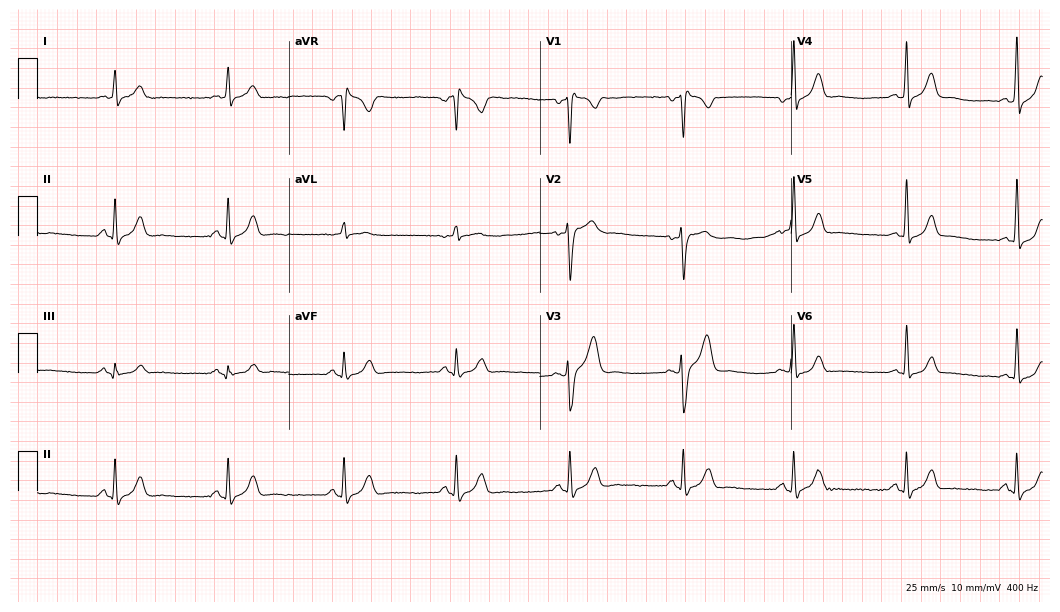
Resting 12-lead electrocardiogram. Patient: a man, 48 years old. None of these six findings is recorded: first-degree AV block, right bundle branch block, left bundle branch block, sinus bradycardia, atrial fibrillation, sinus tachycardia.